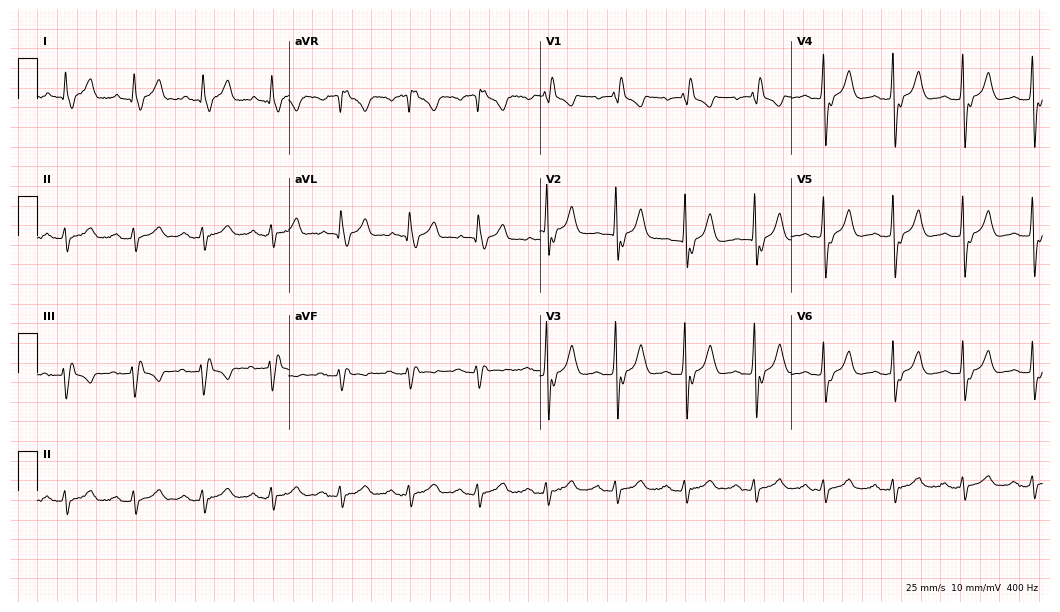
Electrocardiogram (10.2-second recording at 400 Hz), a male patient, 70 years old. Interpretation includes right bundle branch block (RBBB).